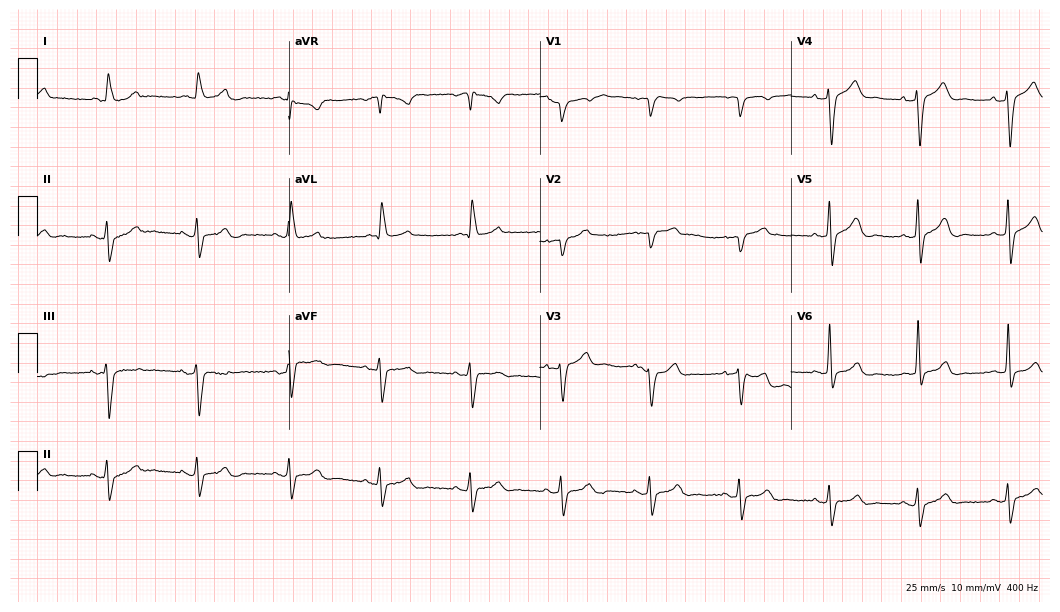
12-lead ECG (10.2-second recording at 400 Hz) from a 79-year-old female. Screened for six findings — first-degree AV block, right bundle branch block, left bundle branch block, sinus bradycardia, atrial fibrillation, sinus tachycardia — none is recorded. Findings outside these six are not listed.